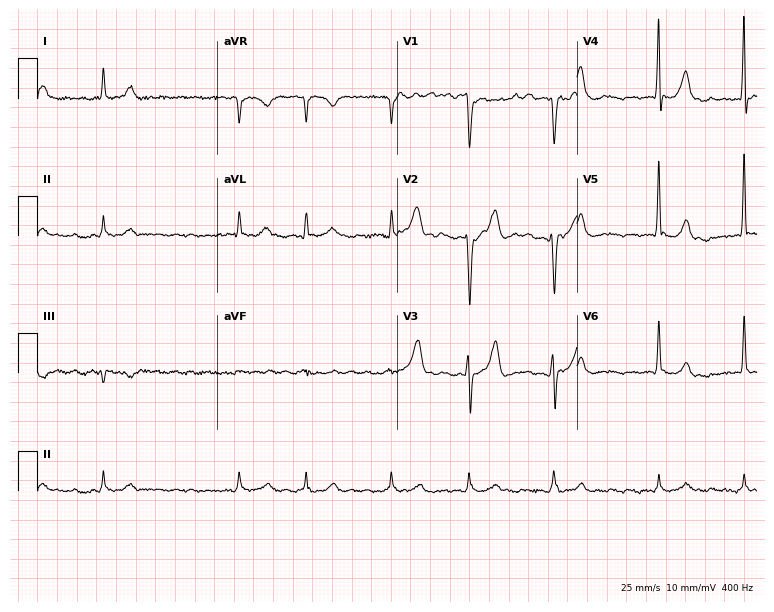
12-lead ECG from a man, 67 years old. Findings include atrial fibrillation.